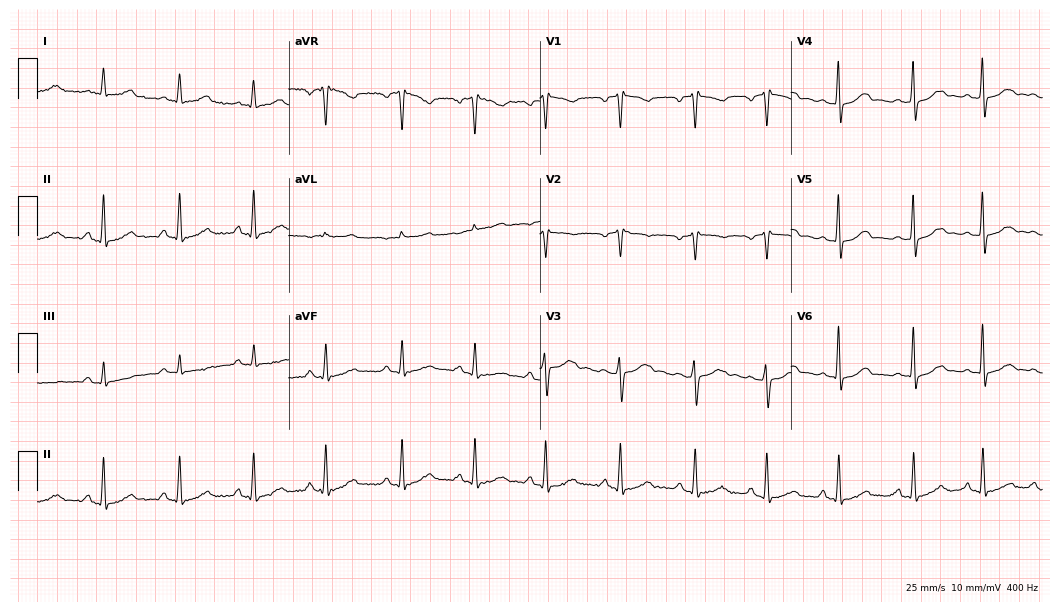
Resting 12-lead electrocardiogram (10.2-second recording at 400 Hz). Patient: a 47-year-old woman. None of these six findings is recorded: first-degree AV block, right bundle branch block, left bundle branch block, sinus bradycardia, atrial fibrillation, sinus tachycardia.